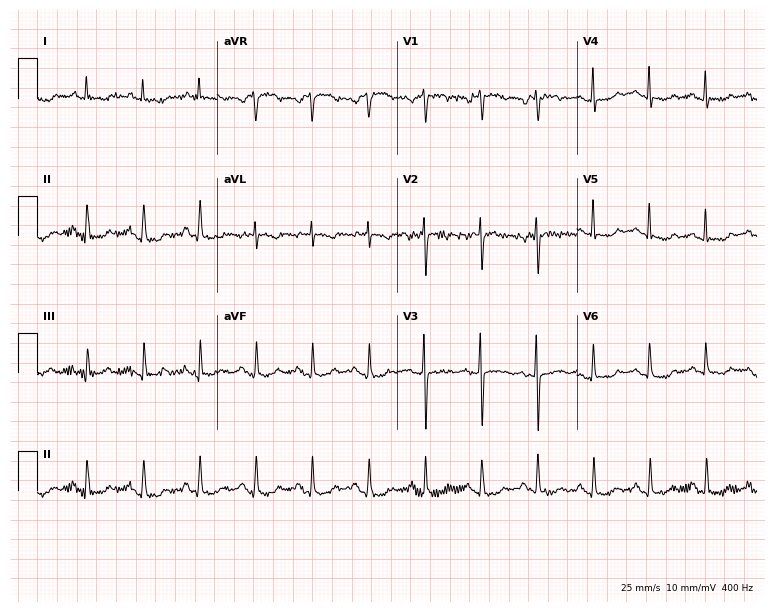
12-lead ECG from a 68-year-old woman (7.3-second recording at 400 Hz). Shows sinus tachycardia (a sinus rate of 100 beats per minute or more).